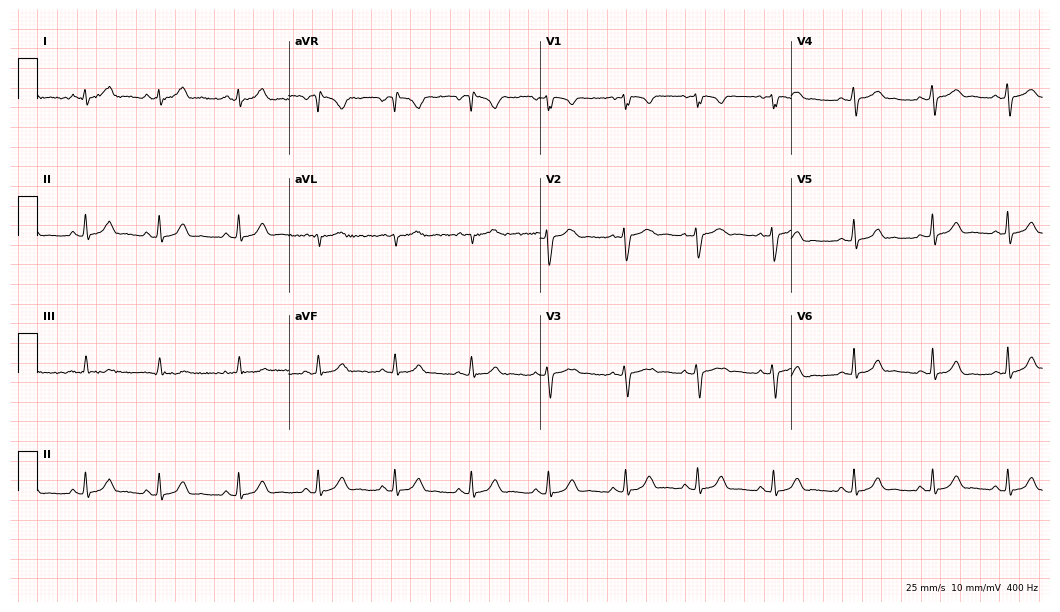
Standard 12-lead ECG recorded from a 21-year-old woman. Read as a normal ECG.